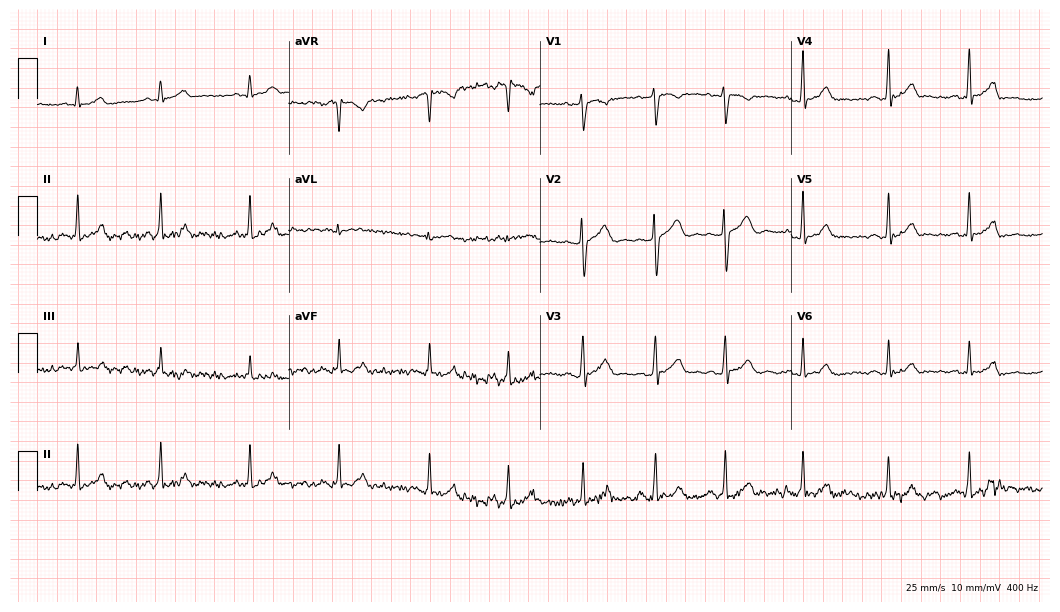
Electrocardiogram, a female, 24 years old. Overall reading on record: normal ECG.